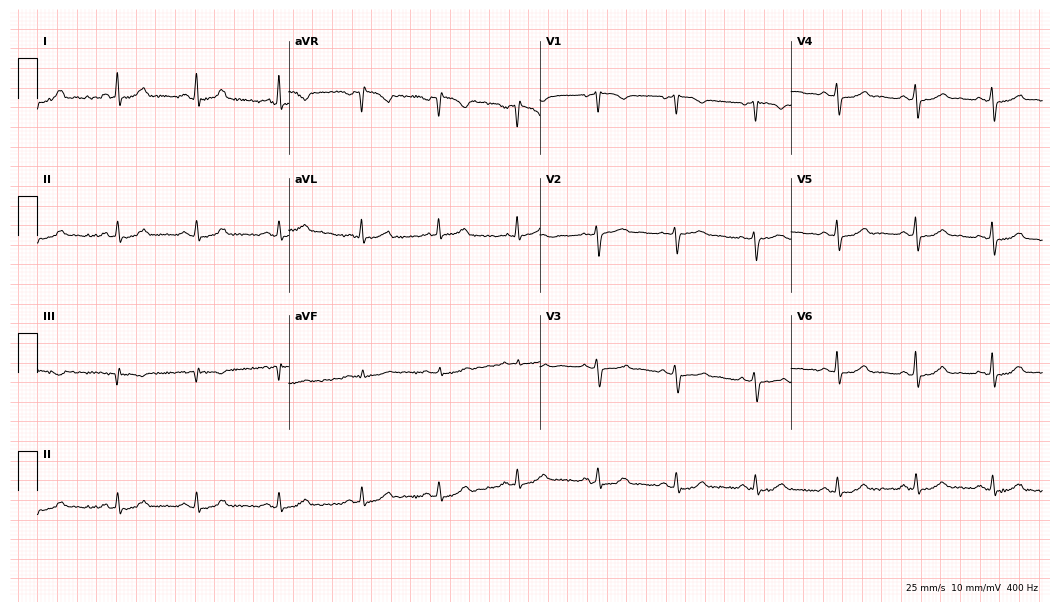
ECG (10.2-second recording at 400 Hz) — a 38-year-old woman. Screened for six findings — first-degree AV block, right bundle branch block (RBBB), left bundle branch block (LBBB), sinus bradycardia, atrial fibrillation (AF), sinus tachycardia — none is recorded. Only these six findings were labelled.